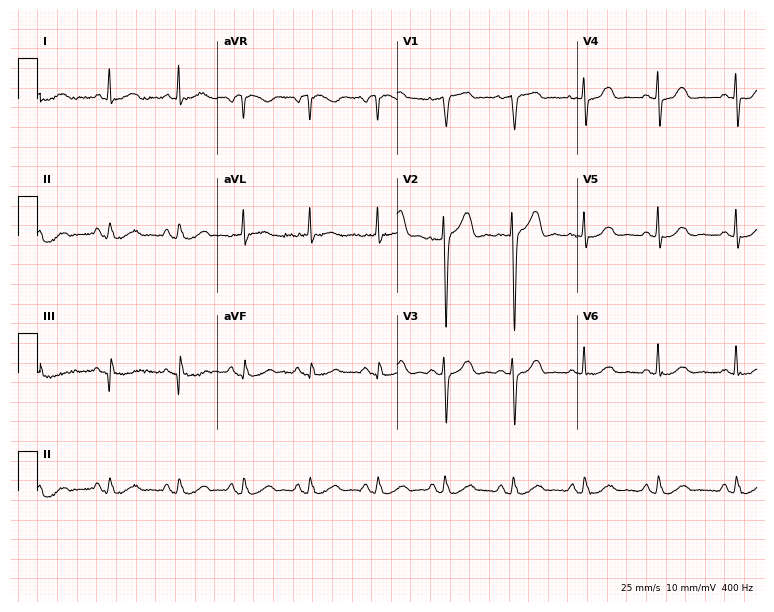
Electrocardiogram, a female, 68 years old. Of the six screened findings (first-degree AV block, right bundle branch block, left bundle branch block, sinus bradycardia, atrial fibrillation, sinus tachycardia), none is recorded. Other findings, if any, are not listed.